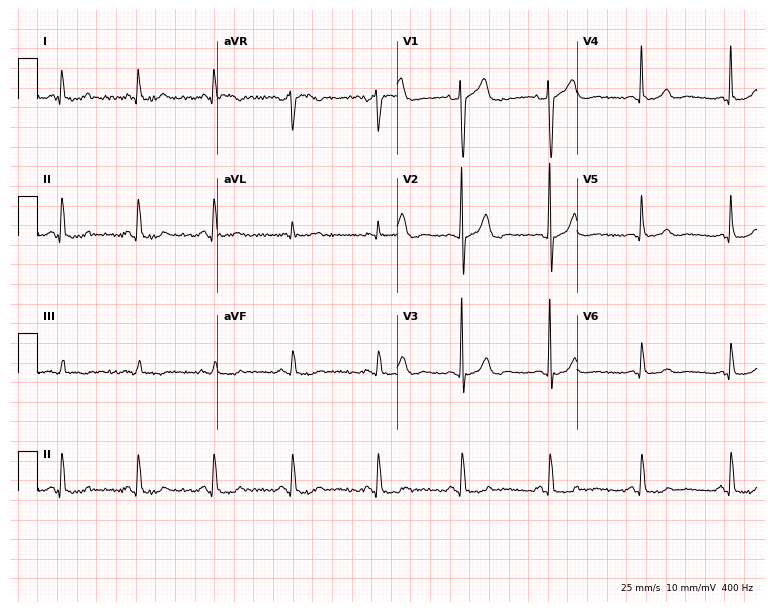
Electrocardiogram (7.3-second recording at 400 Hz), a 59-year-old male. Overall reading on record: normal ECG.